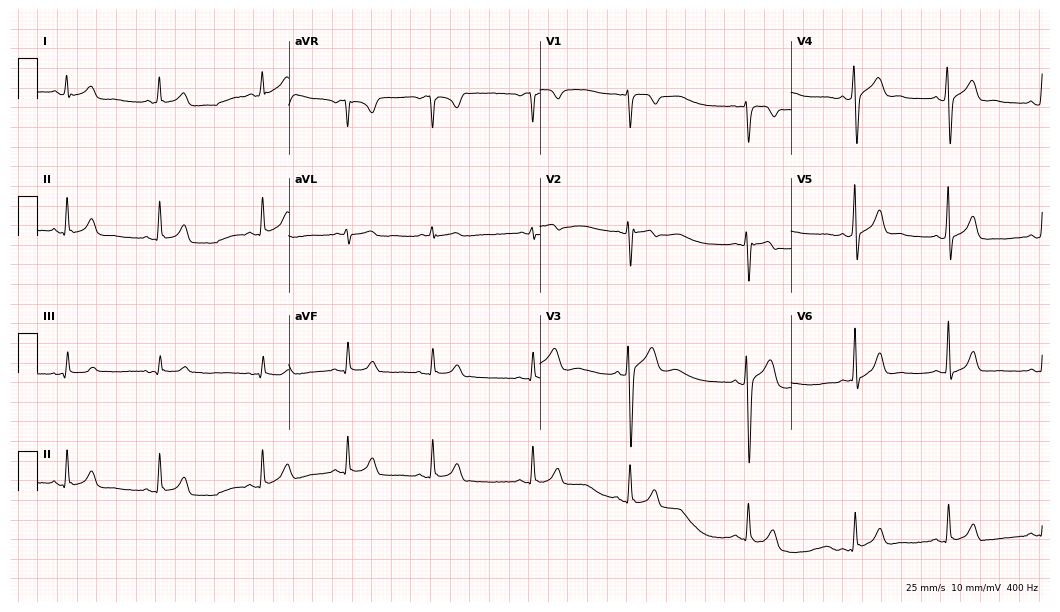
Standard 12-lead ECG recorded from an 18-year-old male patient. Read as a normal ECG.